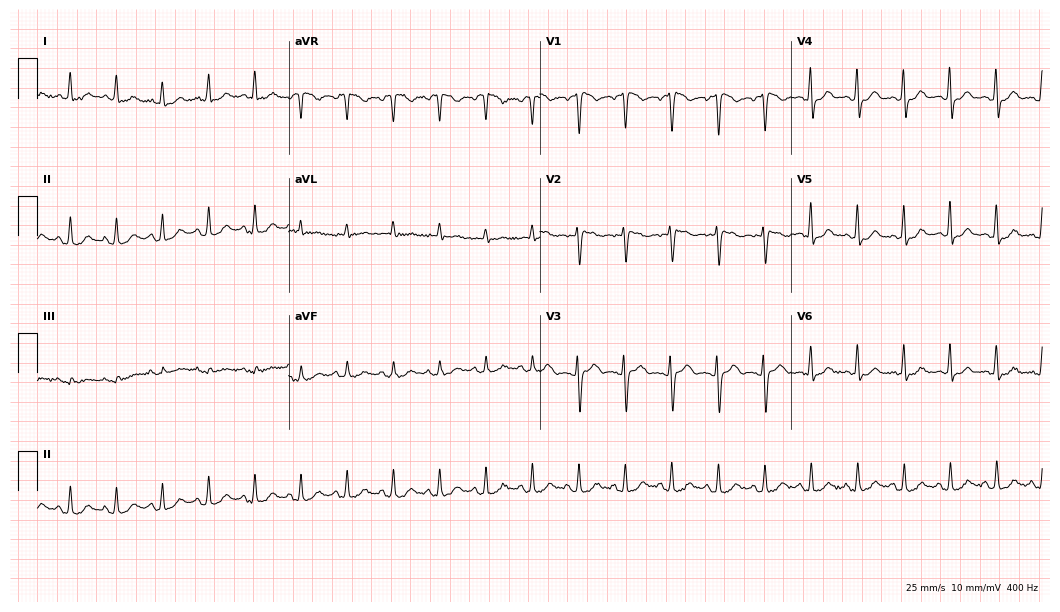
12-lead ECG from a 52-year-old woman. Shows sinus tachycardia (a sinus rate of 100 beats per minute or more).